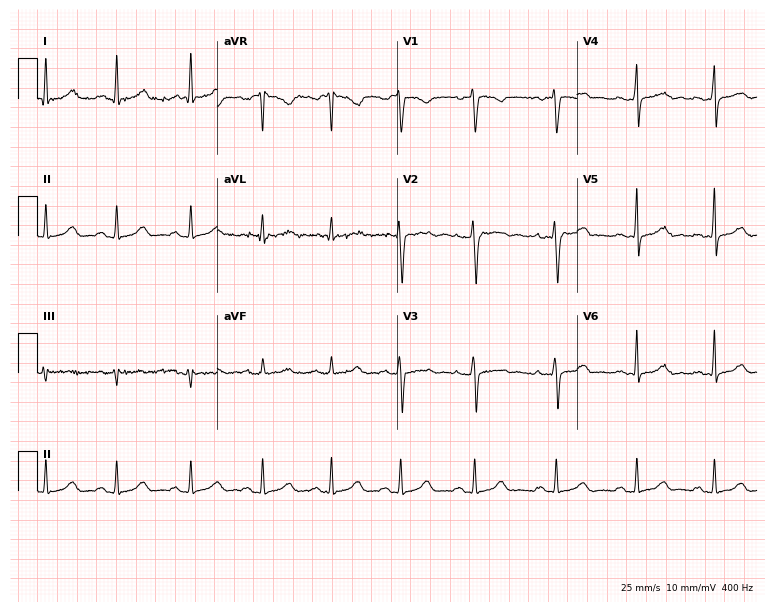
Resting 12-lead electrocardiogram (7.3-second recording at 400 Hz). Patient: a 40-year-old female. Read as a normal ECG.